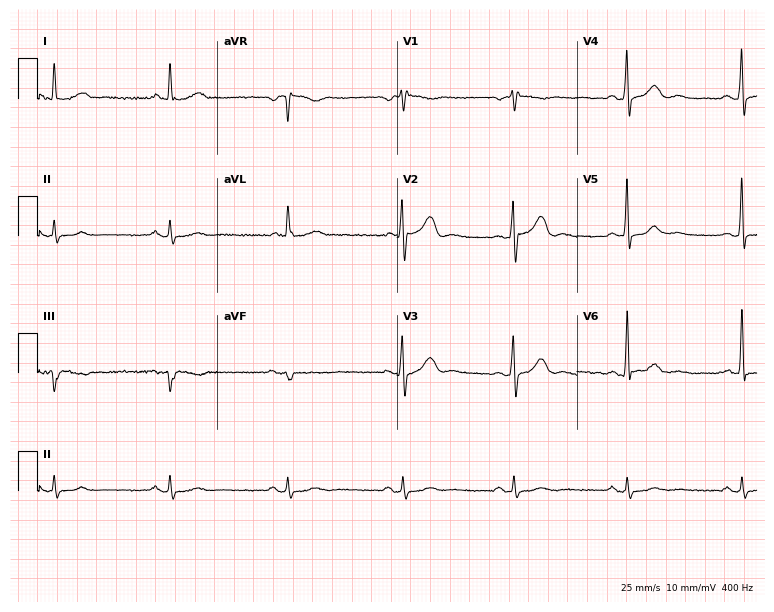
ECG (7.3-second recording at 400 Hz) — a male patient, 53 years old. Labelled as a normal ECG.